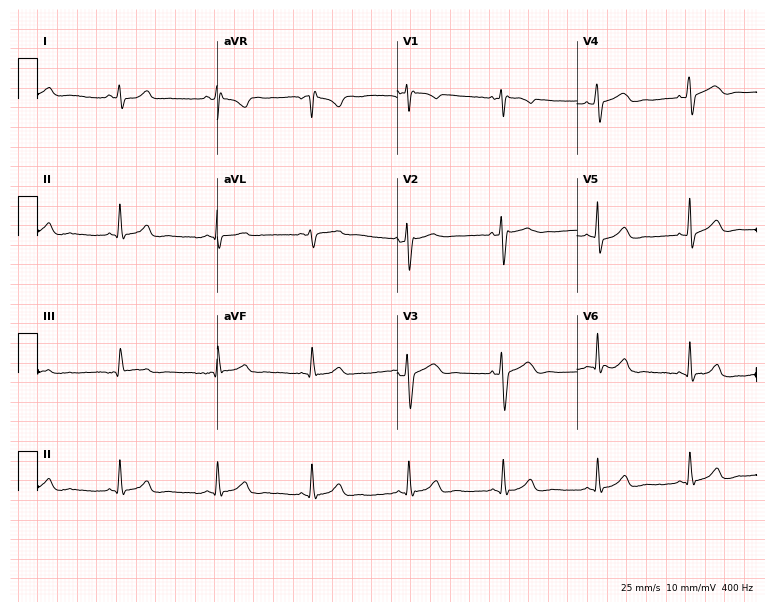
12-lead ECG from a female, 31 years old (7.3-second recording at 400 Hz). No first-degree AV block, right bundle branch block, left bundle branch block, sinus bradycardia, atrial fibrillation or sinus tachycardia recorded for this tracing.